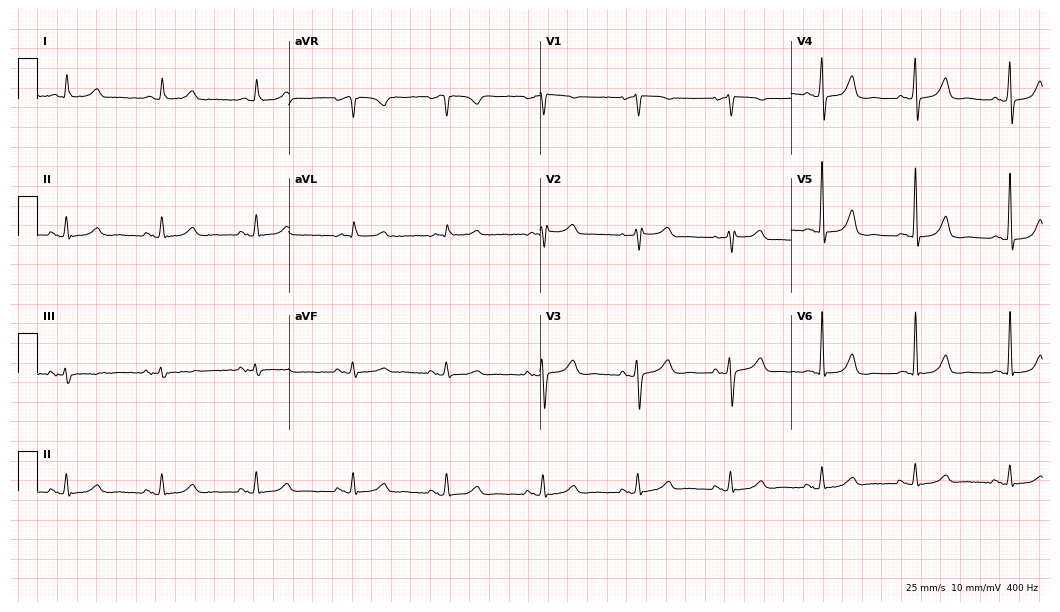
12-lead ECG from a 70-year-old female (10.2-second recording at 400 Hz). Recorded interpretation: within normal limits.